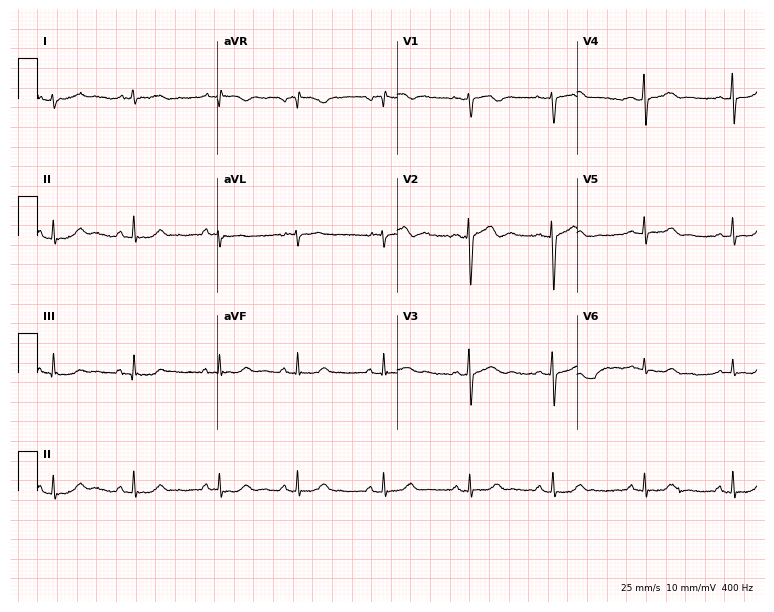
12-lead ECG from a 36-year-old female. Labelled as a normal ECG.